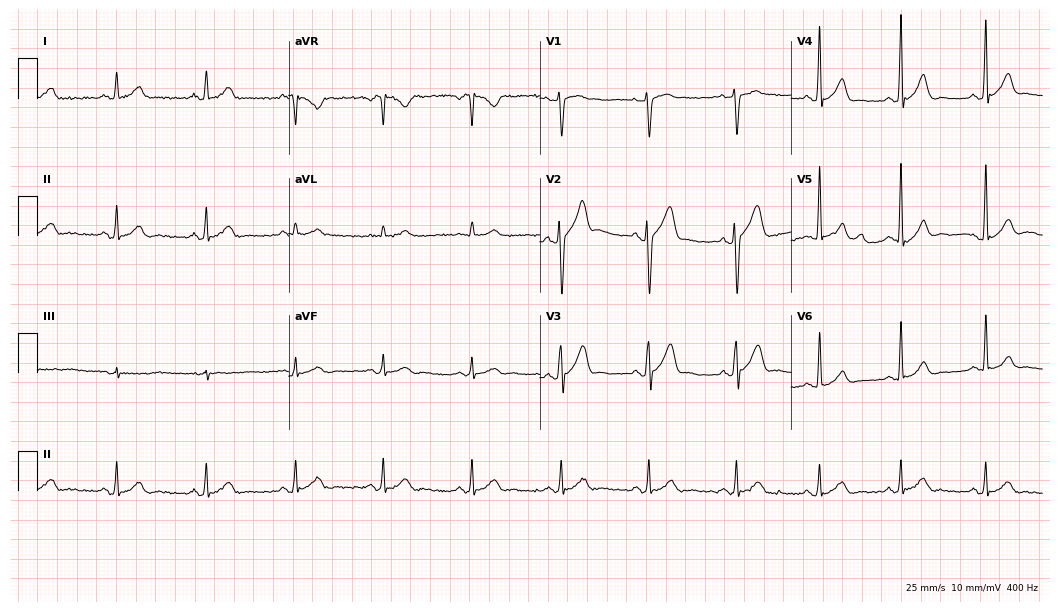
12-lead ECG from a 47-year-old male. Recorded interpretation: within normal limits.